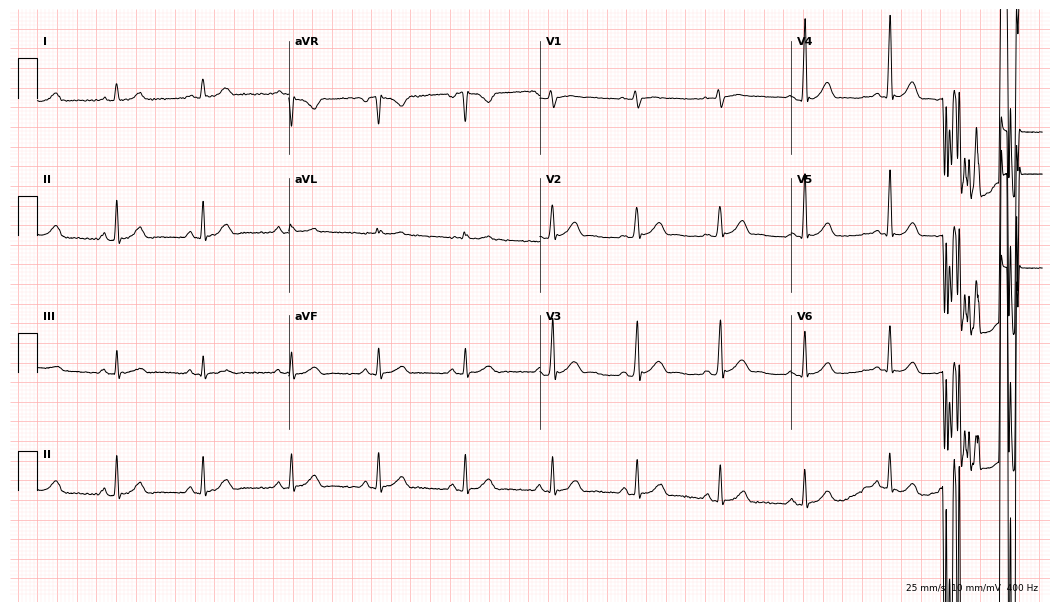
12-lead ECG from a 40-year-old man. Labelled as a normal ECG.